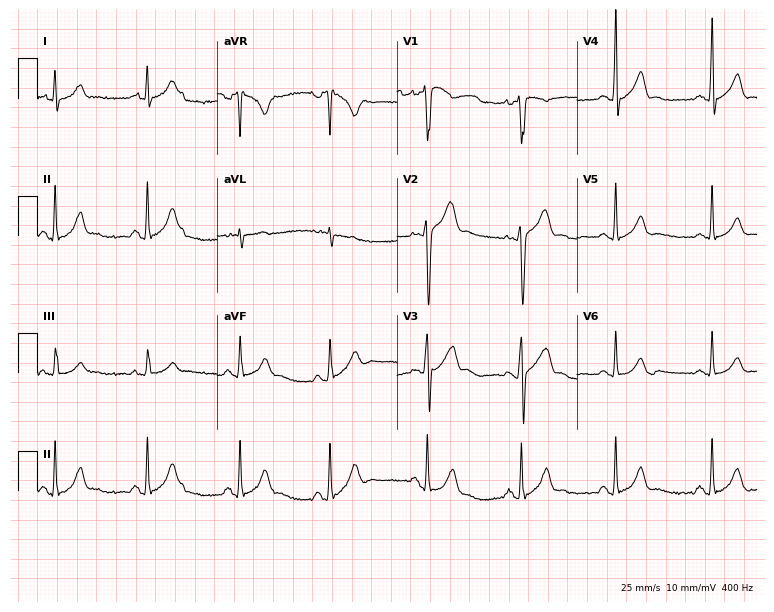
ECG — a 17-year-old man. Labelled as a normal ECG.